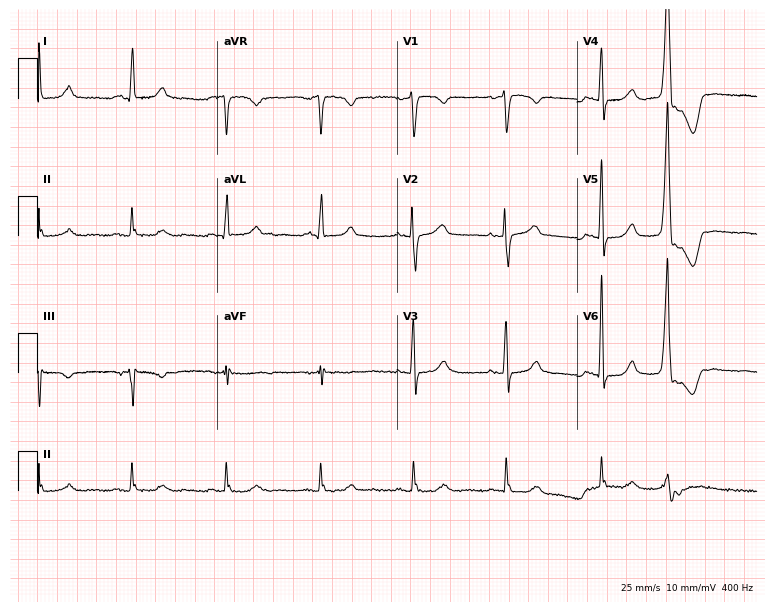
12-lead ECG from a woman, 69 years old (7.3-second recording at 400 Hz). No first-degree AV block, right bundle branch block (RBBB), left bundle branch block (LBBB), sinus bradycardia, atrial fibrillation (AF) or sinus tachycardia recorded for this tracing. Other findings, if any, are not listed.